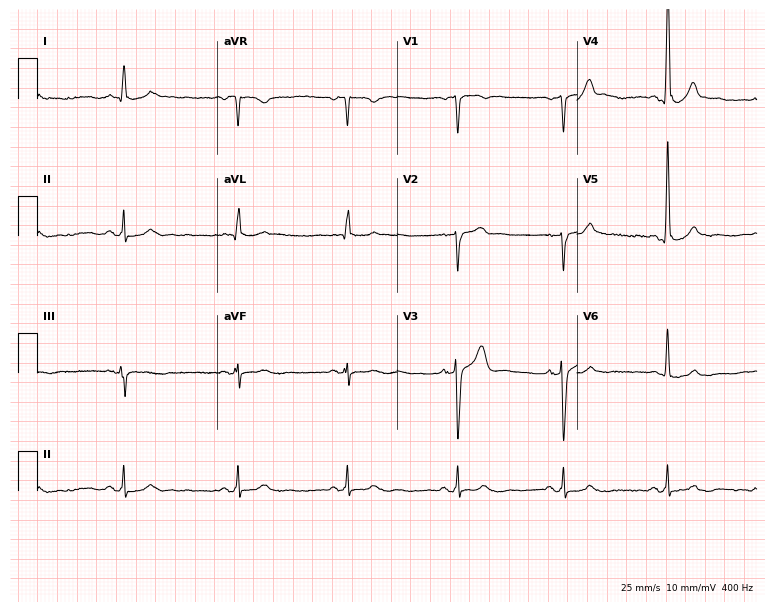
12-lead ECG from an 82-year-old male patient. No first-degree AV block, right bundle branch block (RBBB), left bundle branch block (LBBB), sinus bradycardia, atrial fibrillation (AF) or sinus tachycardia recorded for this tracing.